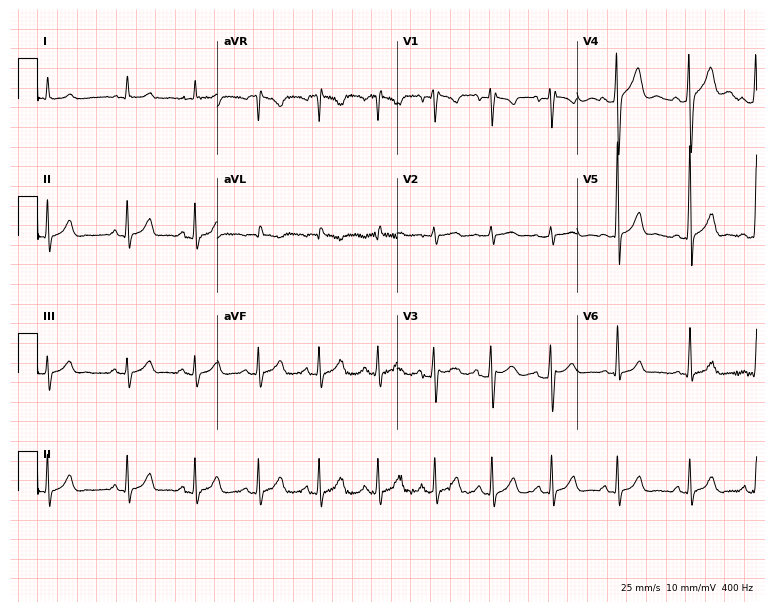
Standard 12-lead ECG recorded from a 20-year-old male (7.3-second recording at 400 Hz). Read as a normal ECG.